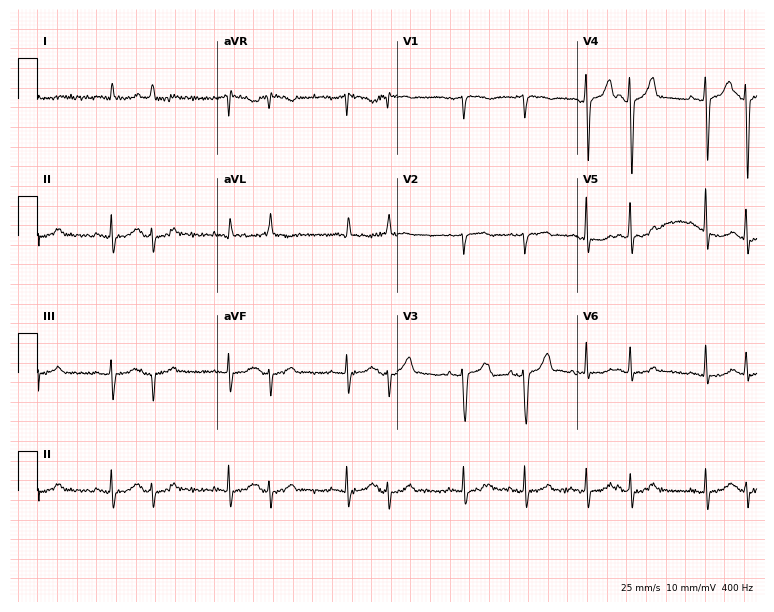
Electrocardiogram, a male, 73 years old. Of the six screened findings (first-degree AV block, right bundle branch block, left bundle branch block, sinus bradycardia, atrial fibrillation, sinus tachycardia), none is recorded.